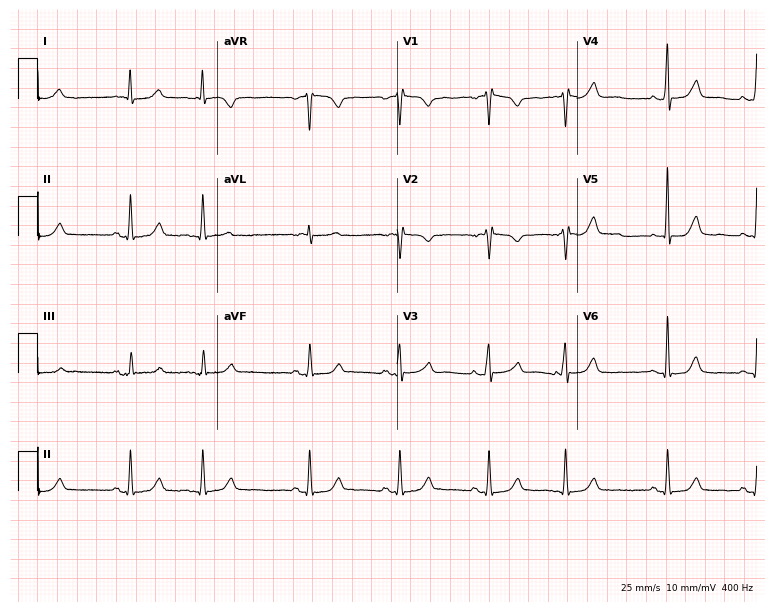
Resting 12-lead electrocardiogram (7.3-second recording at 400 Hz). Patient: a 53-year-old woman. None of these six findings is recorded: first-degree AV block, right bundle branch block (RBBB), left bundle branch block (LBBB), sinus bradycardia, atrial fibrillation (AF), sinus tachycardia.